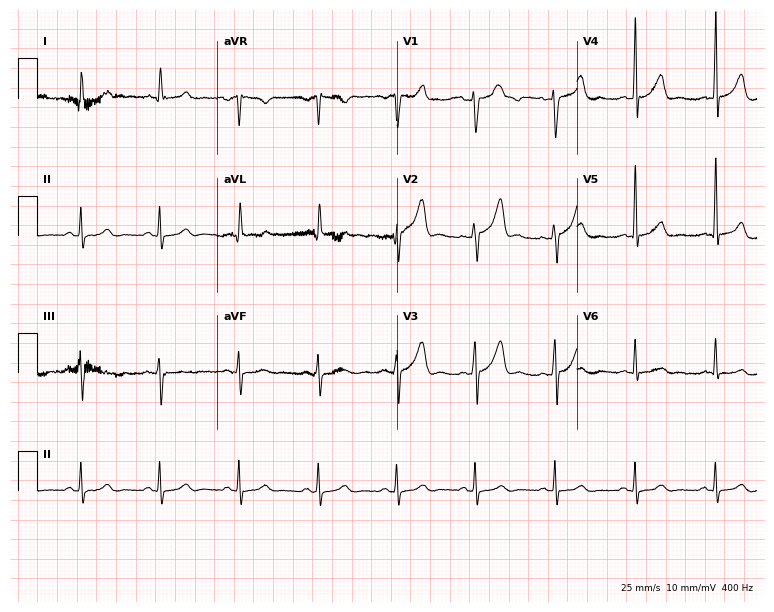
12-lead ECG from a male patient, 74 years old. Recorded interpretation: within normal limits.